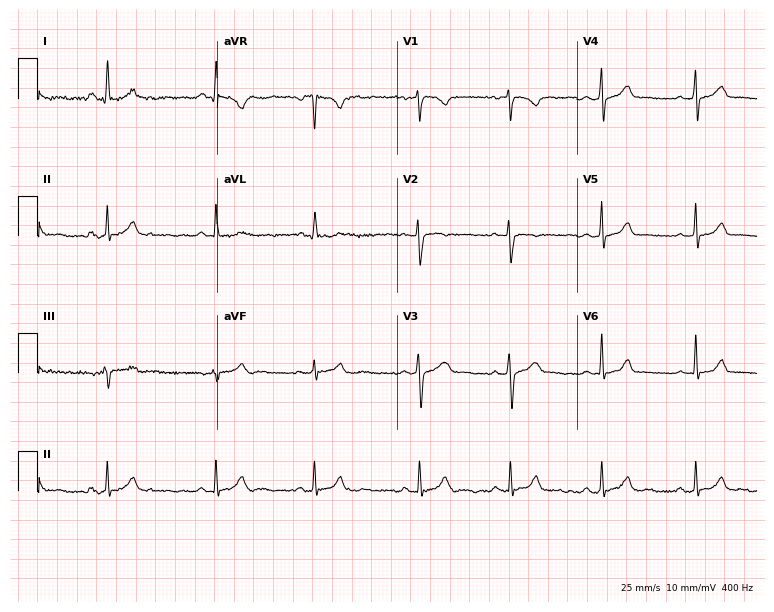
12-lead ECG from a female, 33 years old. Screened for six findings — first-degree AV block, right bundle branch block, left bundle branch block, sinus bradycardia, atrial fibrillation, sinus tachycardia — none is recorded. Findings outside these six are not listed.